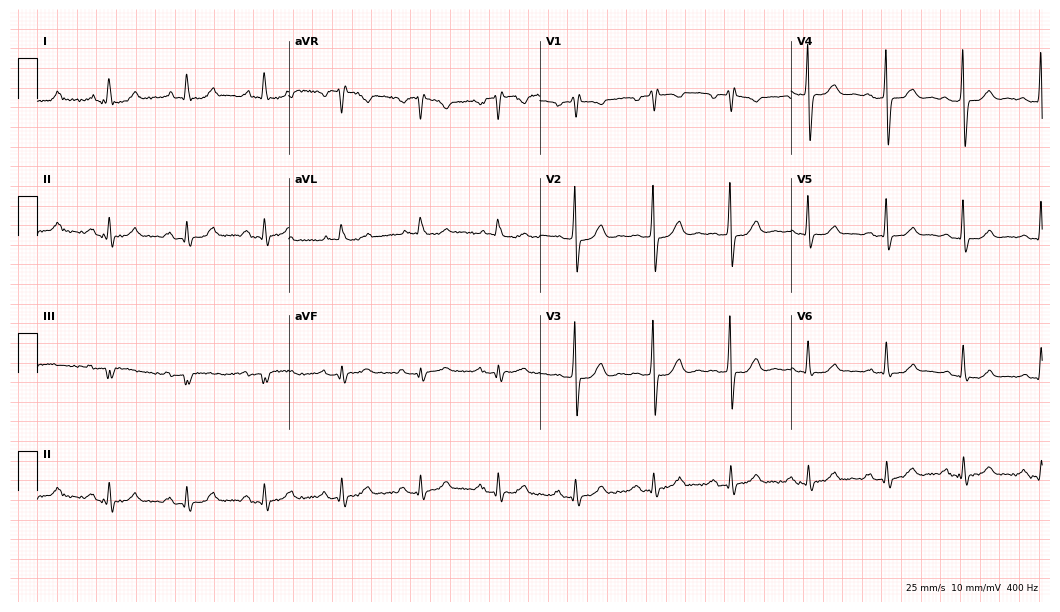
Standard 12-lead ECG recorded from an 80-year-old woman. None of these six findings is recorded: first-degree AV block, right bundle branch block, left bundle branch block, sinus bradycardia, atrial fibrillation, sinus tachycardia.